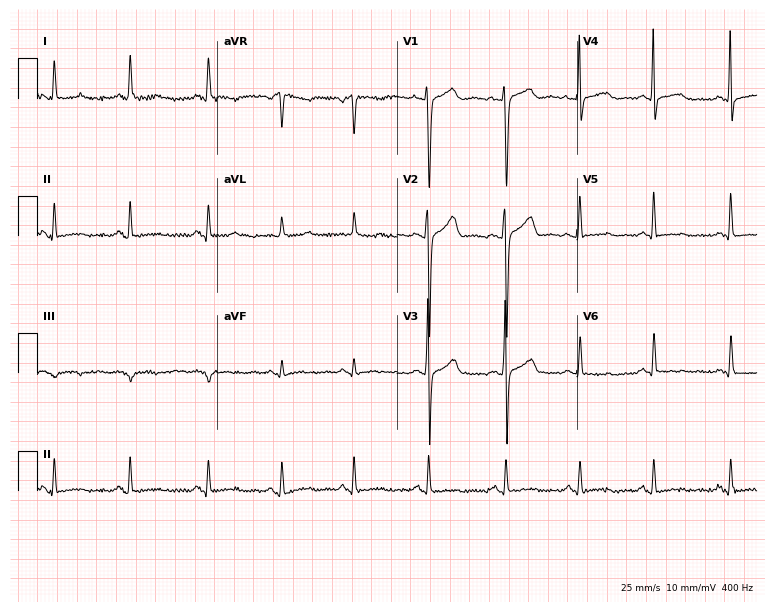
12-lead ECG from a 40-year-old woman. Recorded interpretation: within normal limits.